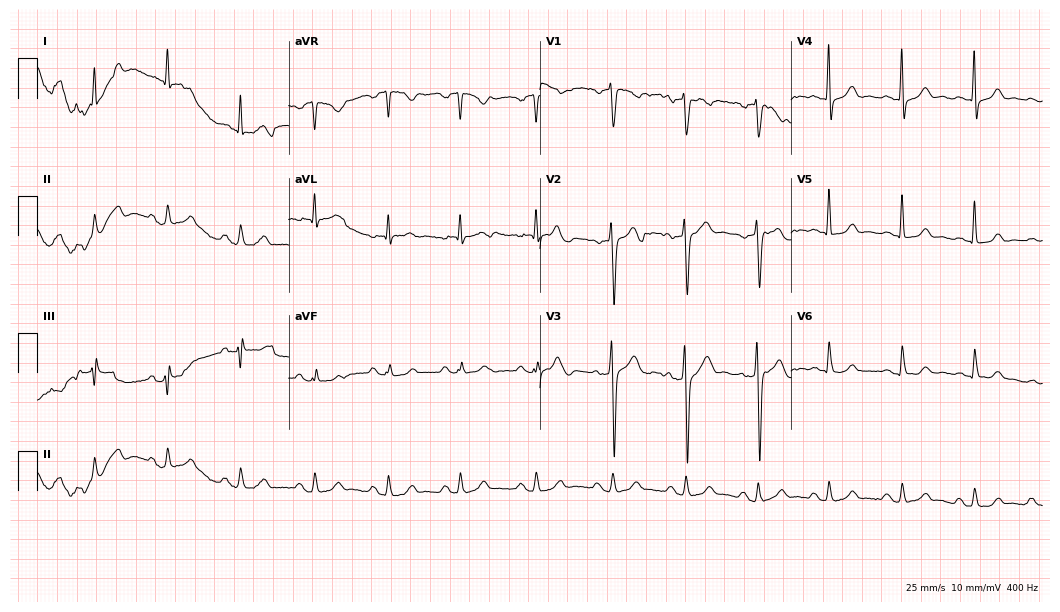
ECG (10.2-second recording at 400 Hz) — a male, 34 years old. Screened for six findings — first-degree AV block, right bundle branch block, left bundle branch block, sinus bradycardia, atrial fibrillation, sinus tachycardia — none is recorded.